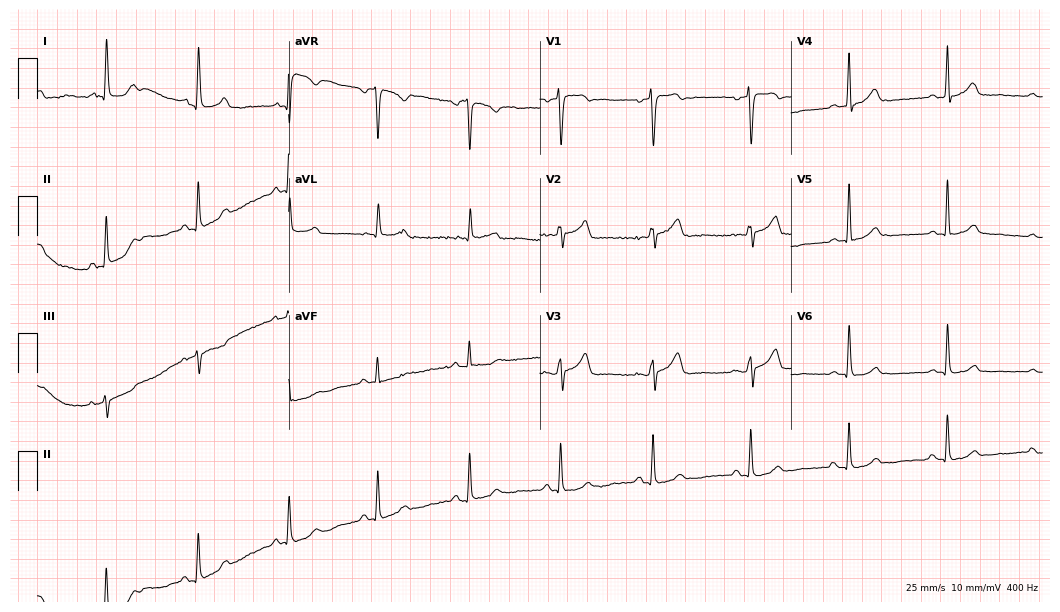
12-lead ECG from a 62-year-old female. Labelled as a normal ECG.